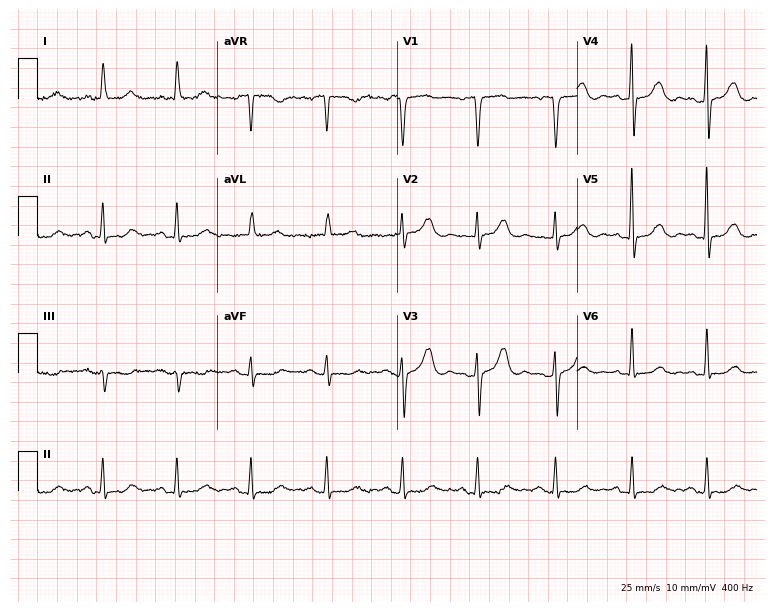
ECG — a female, 67 years old. Screened for six findings — first-degree AV block, right bundle branch block, left bundle branch block, sinus bradycardia, atrial fibrillation, sinus tachycardia — none is recorded. Findings outside these six are not listed.